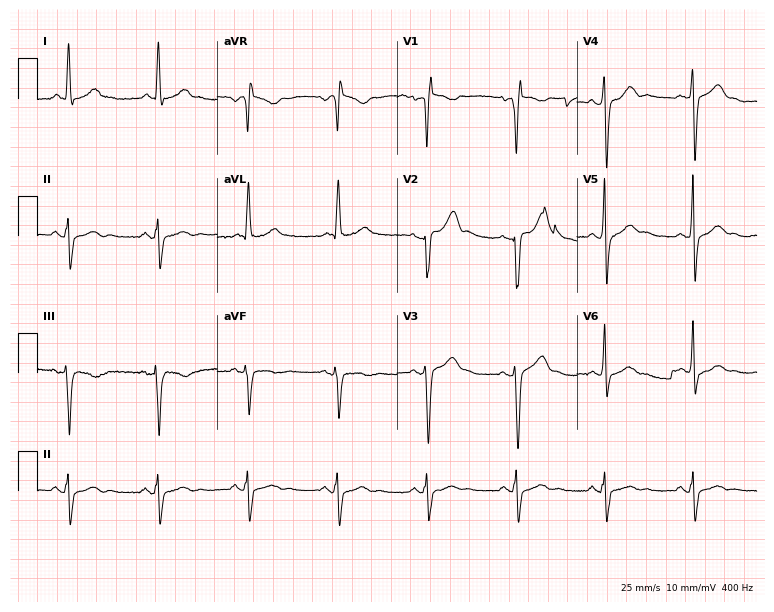
Resting 12-lead electrocardiogram (7.3-second recording at 400 Hz). Patient: a man, 50 years old. None of these six findings is recorded: first-degree AV block, right bundle branch block, left bundle branch block, sinus bradycardia, atrial fibrillation, sinus tachycardia.